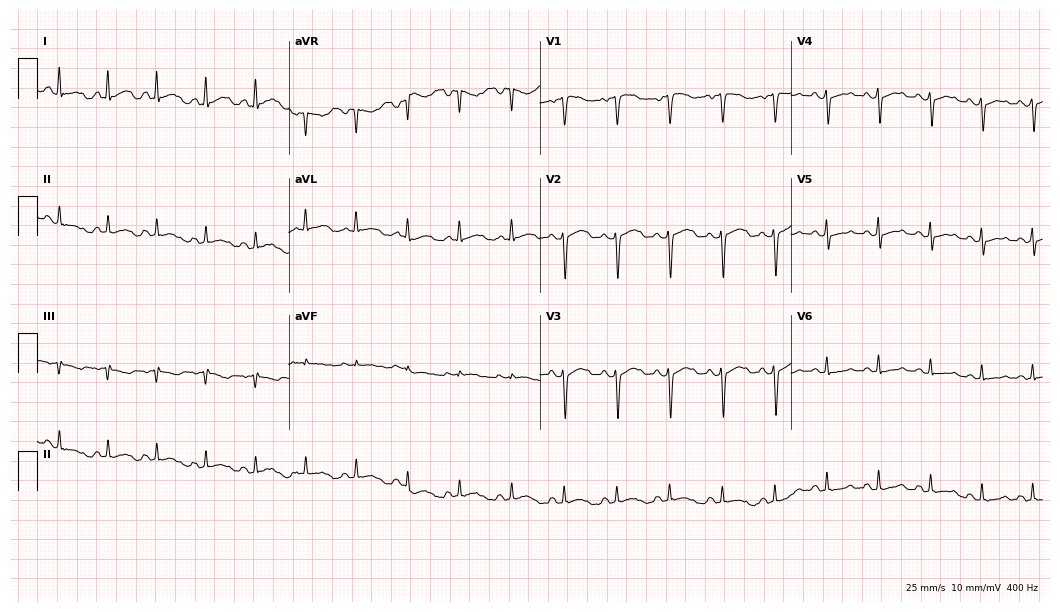
Standard 12-lead ECG recorded from a 33-year-old female. The tracing shows sinus tachycardia (a sinus rate of 100 beats per minute or more).